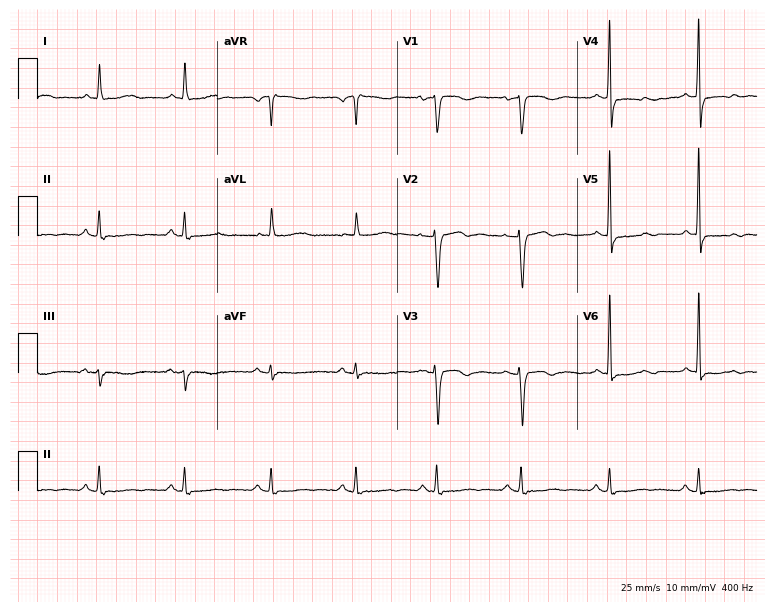
Electrocardiogram (7.3-second recording at 400 Hz), a female patient, 83 years old. Of the six screened findings (first-degree AV block, right bundle branch block, left bundle branch block, sinus bradycardia, atrial fibrillation, sinus tachycardia), none is recorded. Only these six findings were labelled.